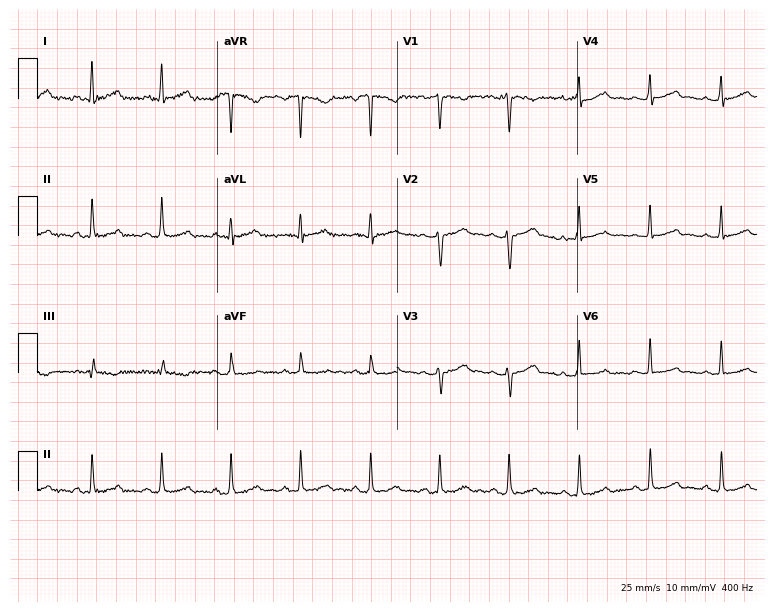
ECG — a female patient, 40 years old. Labelled as a normal ECG.